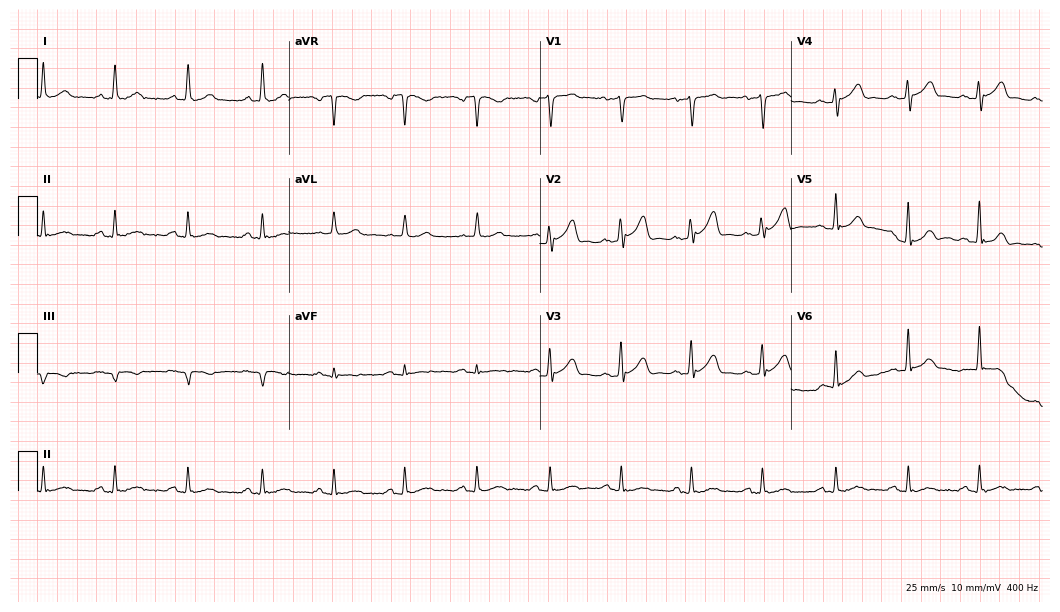
Resting 12-lead electrocardiogram. Patient: a 43-year-old man. Read as a normal ECG.